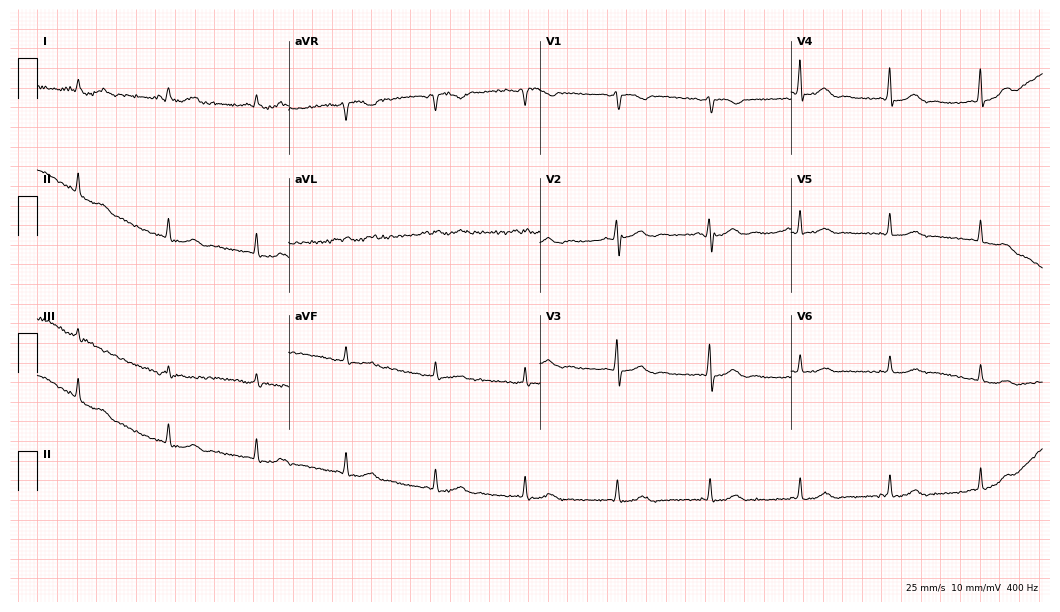
Standard 12-lead ECG recorded from a 54-year-old female patient. None of these six findings is recorded: first-degree AV block, right bundle branch block, left bundle branch block, sinus bradycardia, atrial fibrillation, sinus tachycardia. Other findings, if any, are not listed.